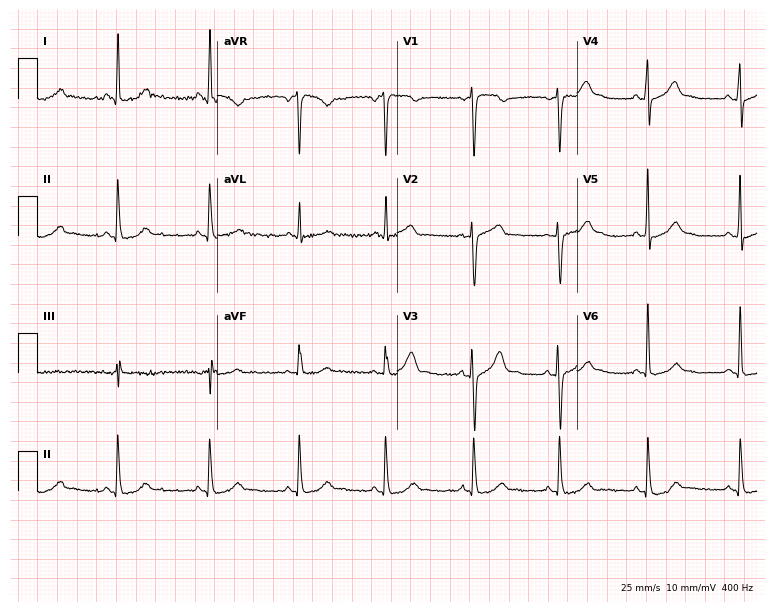
ECG — a female, 34 years old. Screened for six findings — first-degree AV block, right bundle branch block (RBBB), left bundle branch block (LBBB), sinus bradycardia, atrial fibrillation (AF), sinus tachycardia — none is recorded. Only these six findings were labelled.